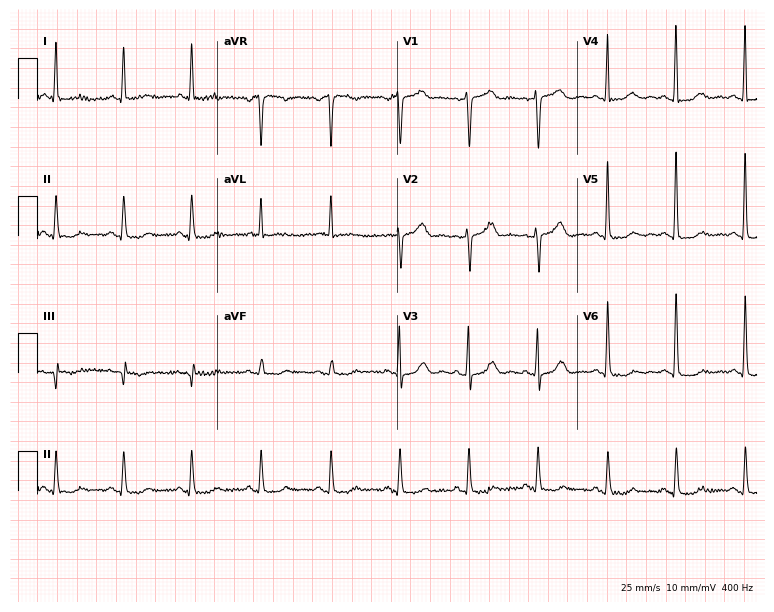
12-lead ECG (7.3-second recording at 400 Hz) from a female patient, 78 years old. Screened for six findings — first-degree AV block, right bundle branch block, left bundle branch block, sinus bradycardia, atrial fibrillation, sinus tachycardia — none is recorded.